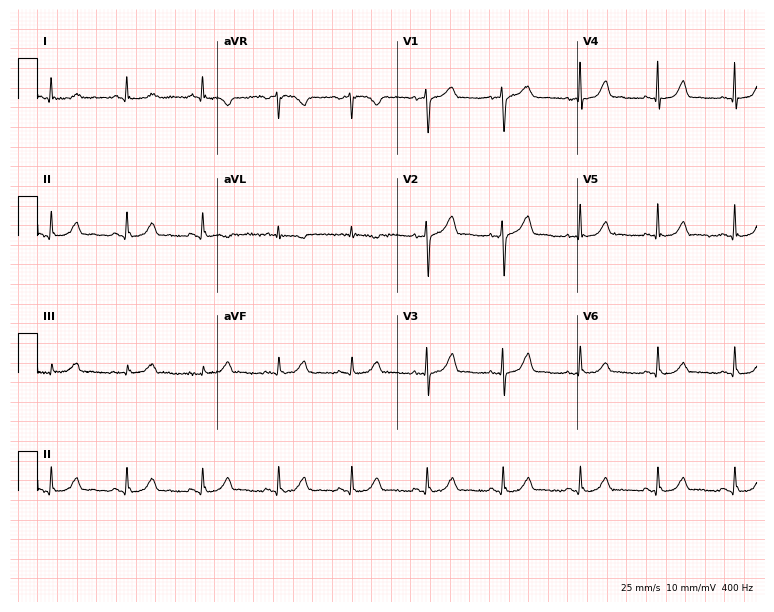
Electrocardiogram (7.3-second recording at 400 Hz), a female patient, 53 years old. Of the six screened findings (first-degree AV block, right bundle branch block, left bundle branch block, sinus bradycardia, atrial fibrillation, sinus tachycardia), none is recorded. Other findings, if any, are not listed.